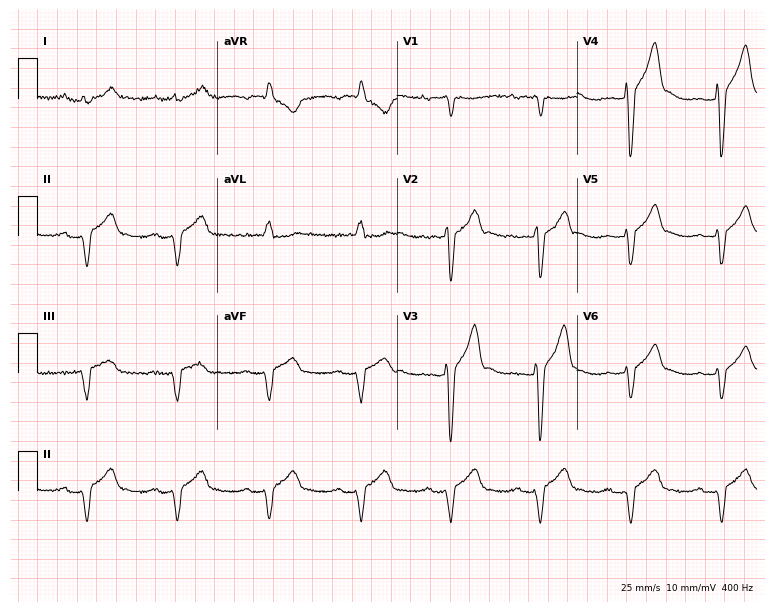
12-lead ECG from a male, 58 years old (7.3-second recording at 400 Hz). Shows first-degree AV block.